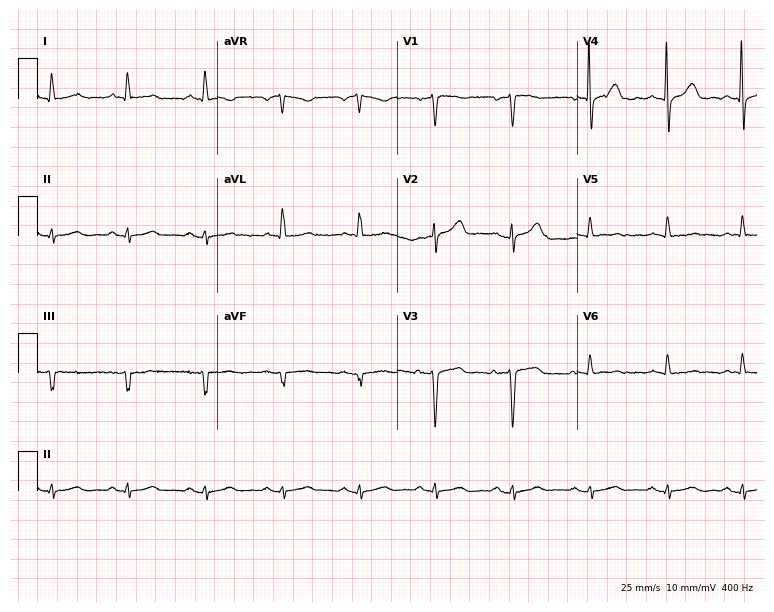
12-lead ECG from a woman, 64 years old (7.3-second recording at 400 Hz). No first-degree AV block, right bundle branch block, left bundle branch block, sinus bradycardia, atrial fibrillation or sinus tachycardia recorded for this tracing. Only these six findings were labelled.